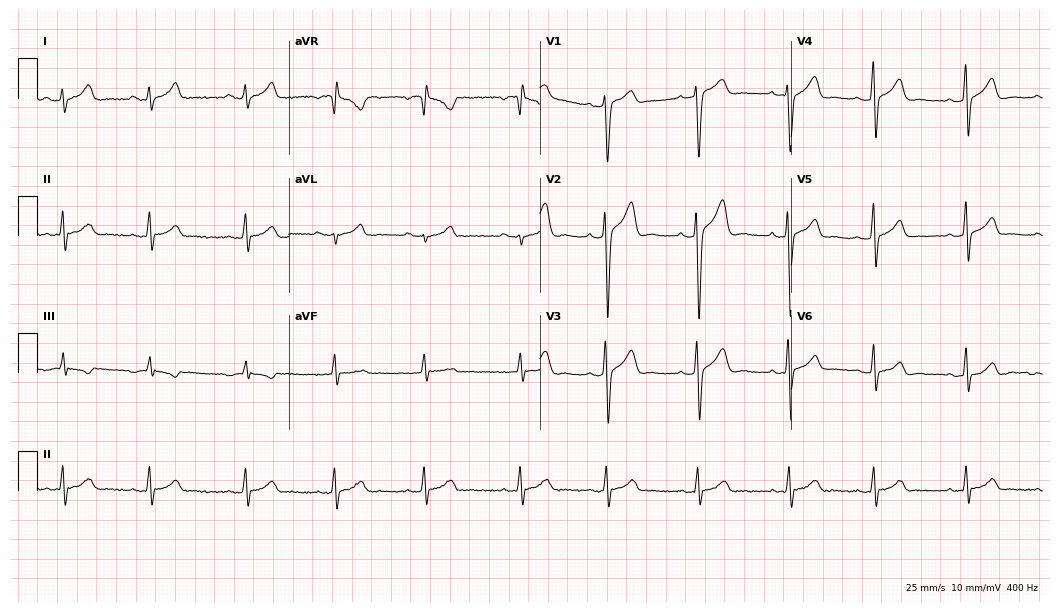
12-lead ECG from a 23-year-old male patient. Labelled as a normal ECG.